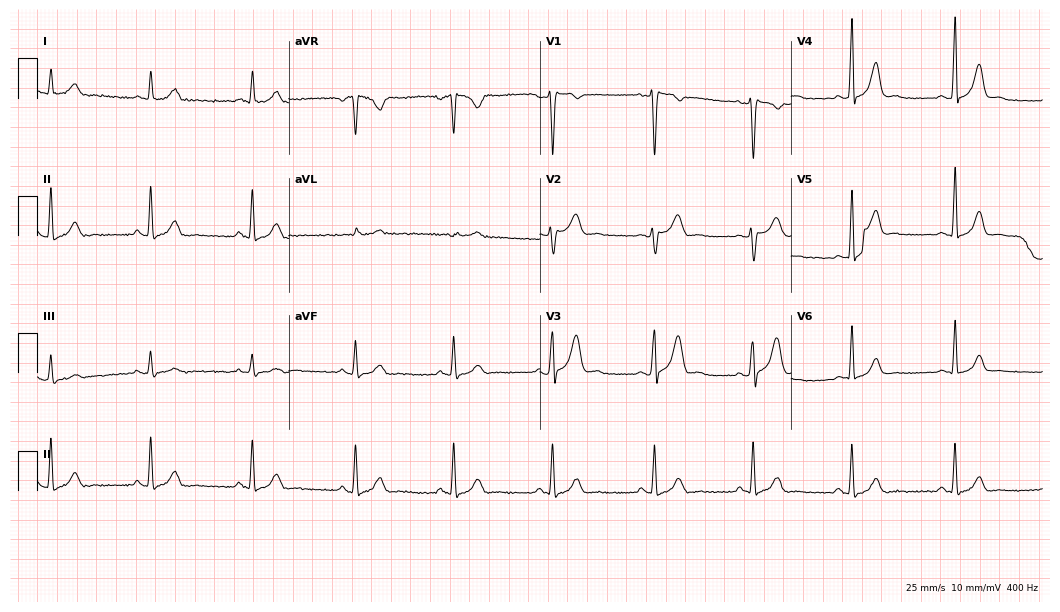
Resting 12-lead electrocardiogram. Patient: a 33-year-old man. None of these six findings is recorded: first-degree AV block, right bundle branch block (RBBB), left bundle branch block (LBBB), sinus bradycardia, atrial fibrillation (AF), sinus tachycardia.